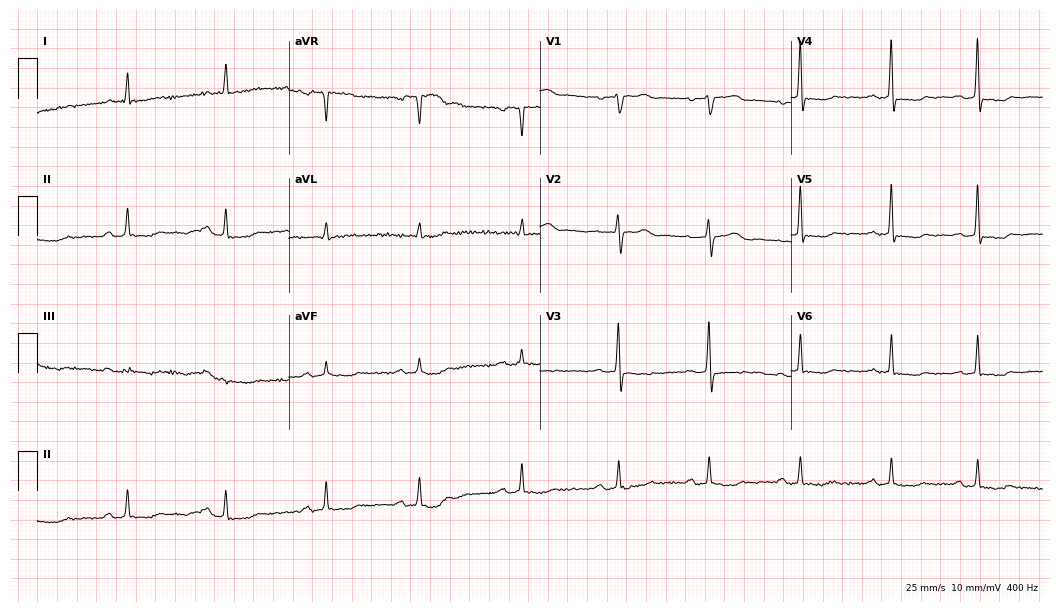
12-lead ECG from a female, 55 years old (10.2-second recording at 400 Hz). No first-degree AV block, right bundle branch block, left bundle branch block, sinus bradycardia, atrial fibrillation or sinus tachycardia recorded for this tracing. Findings outside these six are not listed.